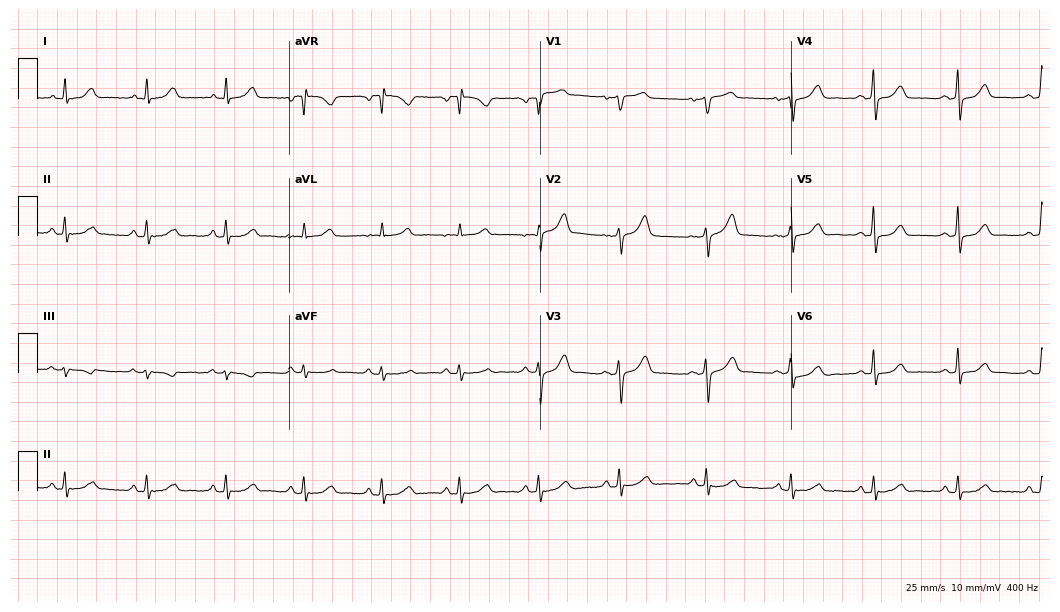
Electrocardiogram (10.2-second recording at 400 Hz), a female, 50 years old. Overall reading on record: normal ECG.